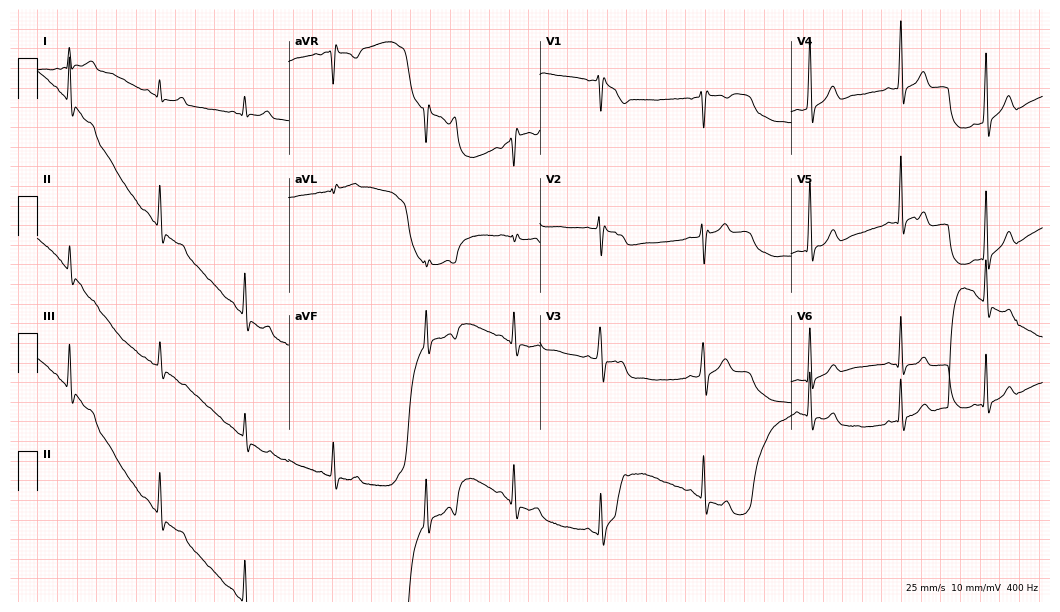
ECG — a 28-year-old male patient. Labelled as a normal ECG.